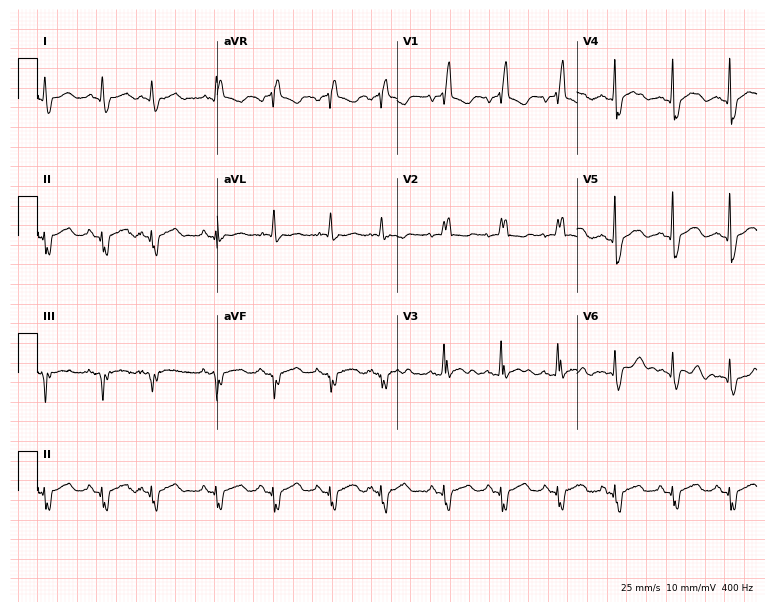
Standard 12-lead ECG recorded from a female, 63 years old (7.3-second recording at 400 Hz). The tracing shows right bundle branch block (RBBB).